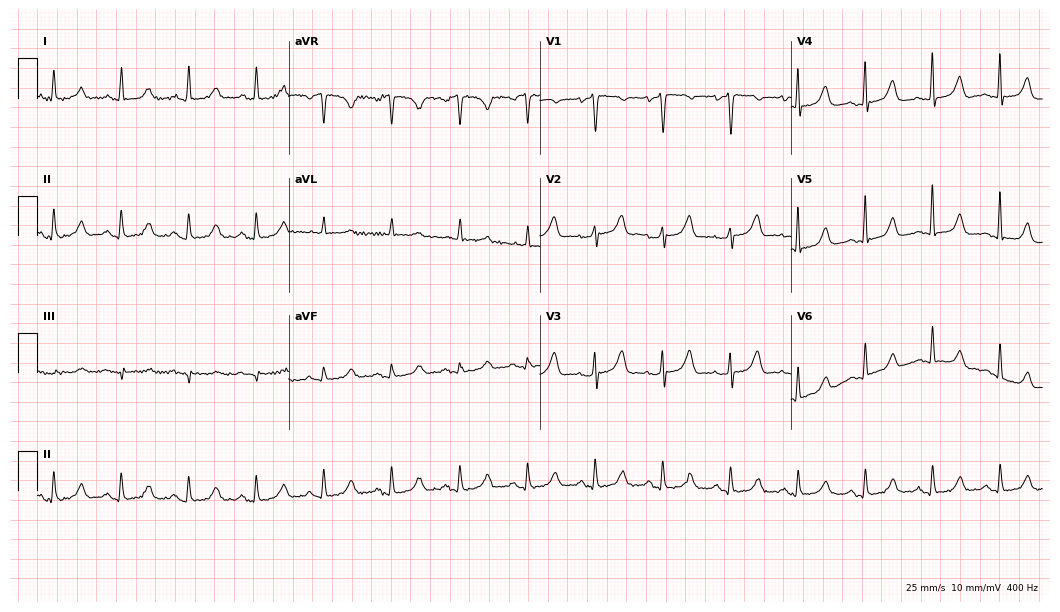
ECG (10.2-second recording at 400 Hz) — a female, 77 years old. Labelled as a normal ECG.